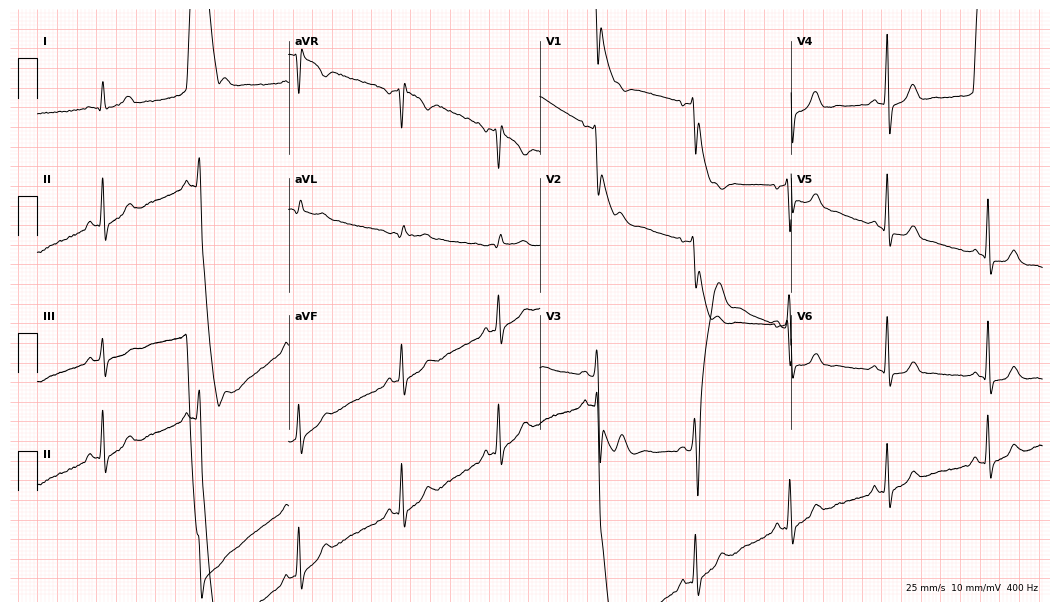
12-lead ECG from a 31-year-old male patient (10.2-second recording at 400 Hz). No first-degree AV block, right bundle branch block, left bundle branch block, sinus bradycardia, atrial fibrillation or sinus tachycardia recorded for this tracing.